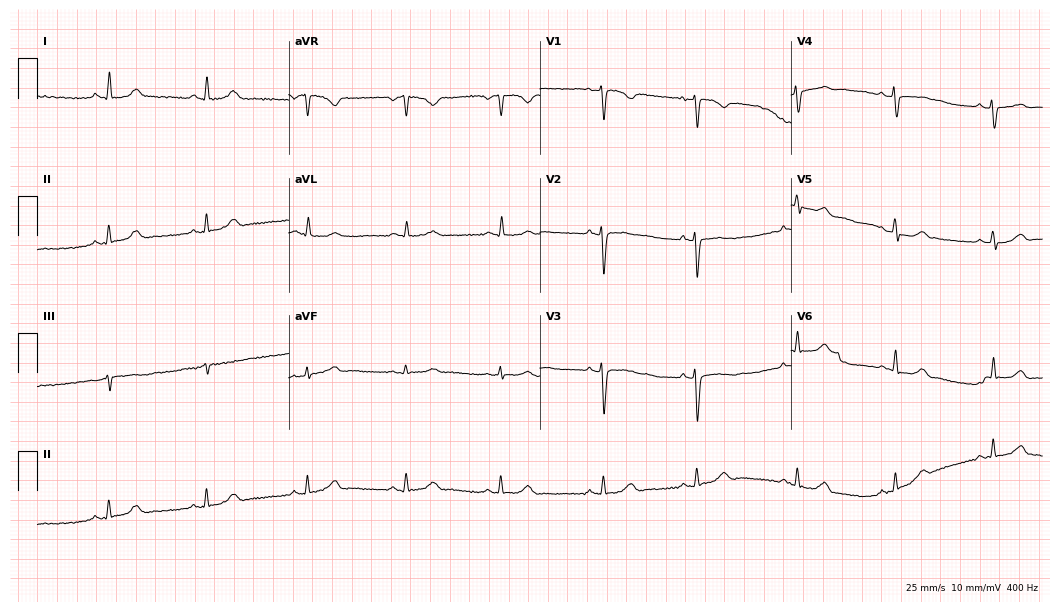
Electrocardiogram, a 28-year-old female patient. Of the six screened findings (first-degree AV block, right bundle branch block, left bundle branch block, sinus bradycardia, atrial fibrillation, sinus tachycardia), none is recorded.